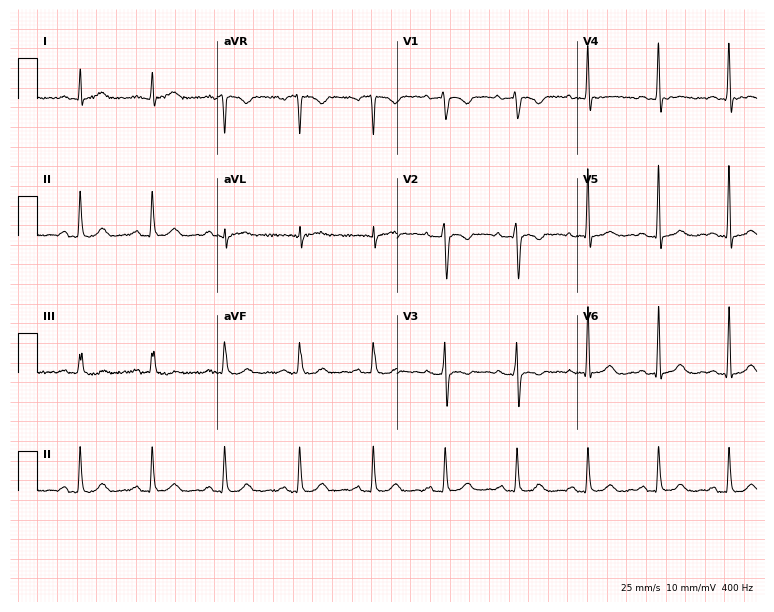
12-lead ECG from a woman, 36 years old. No first-degree AV block, right bundle branch block, left bundle branch block, sinus bradycardia, atrial fibrillation or sinus tachycardia recorded for this tracing. Other findings, if any, are not listed.